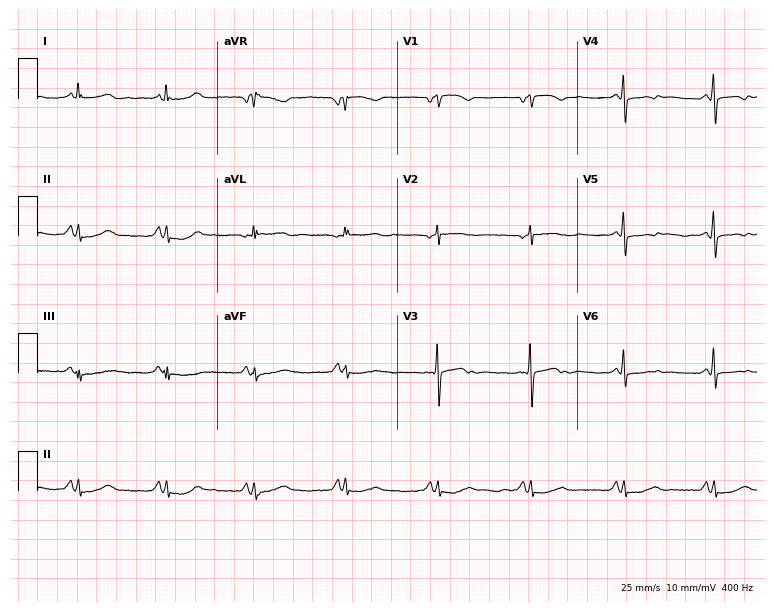
ECG (7.3-second recording at 400 Hz) — a 64-year-old woman. Screened for six findings — first-degree AV block, right bundle branch block, left bundle branch block, sinus bradycardia, atrial fibrillation, sinus tachycardia — none is recorded. Findings outside these six are not listed.